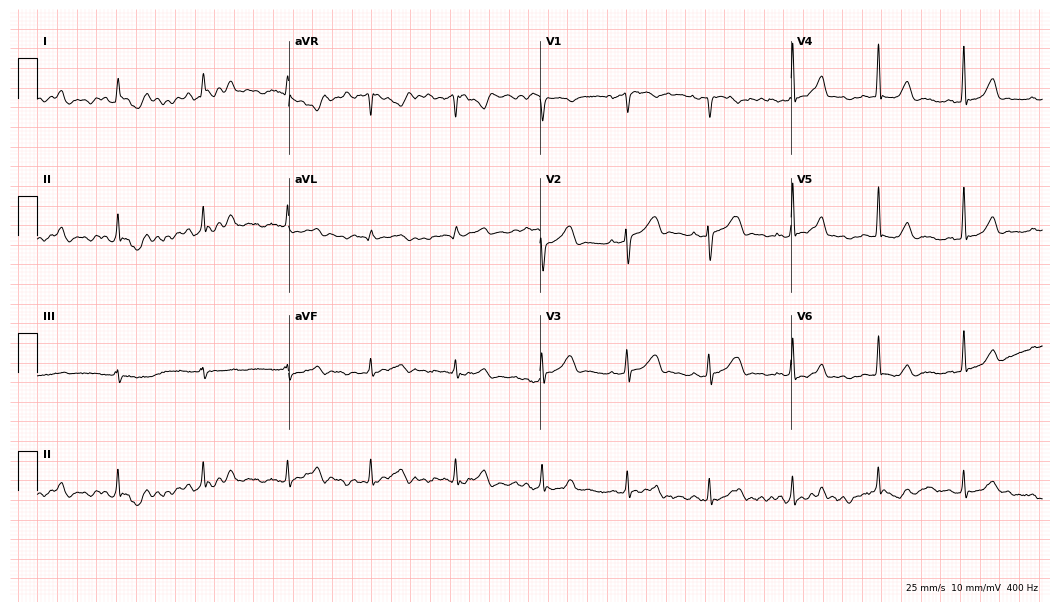
ECG — a woman, 32 years old. Labelled as a normal ECG.